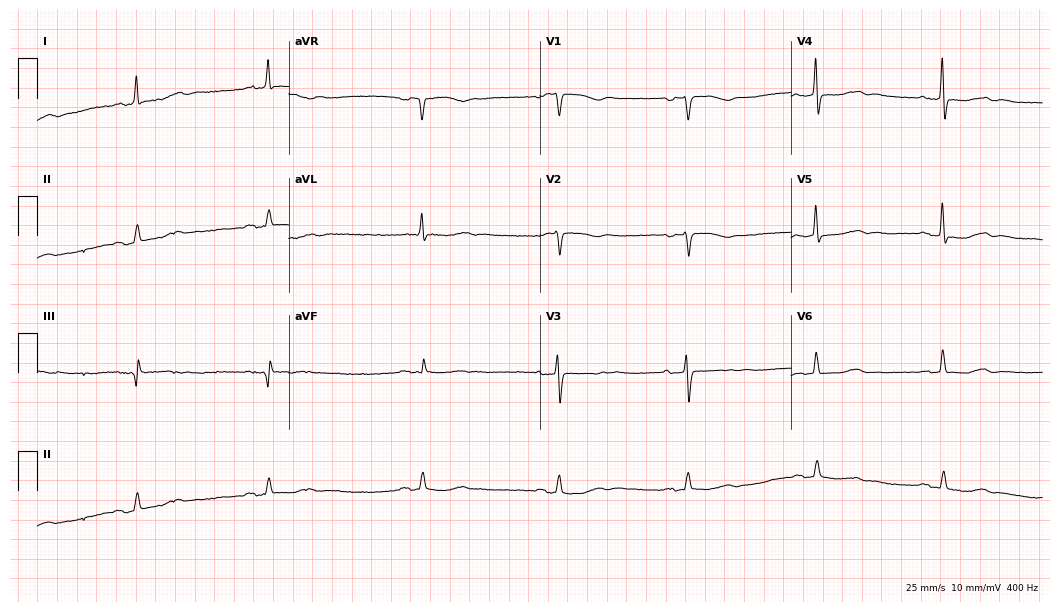
Electrocardiogram, a female, 35 years old. Interpretation includes right bundle branch block (RBBB).